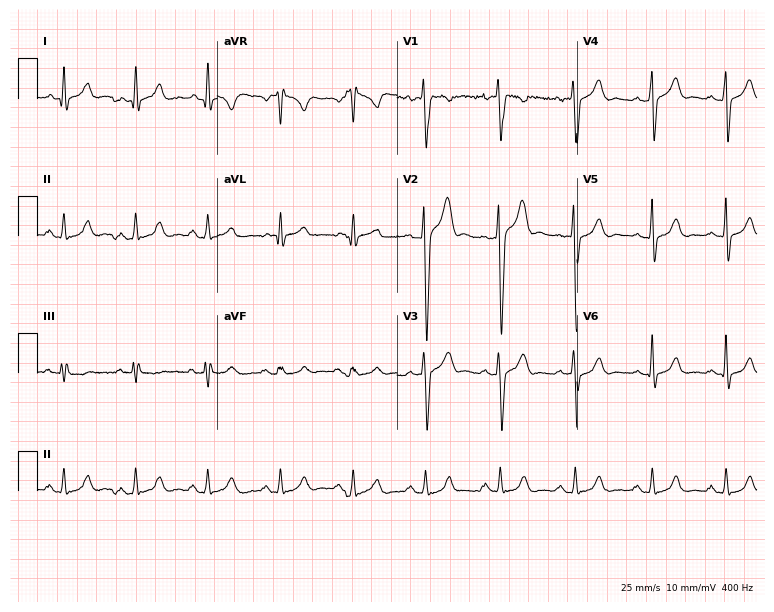
Electrocardiogram (7.3-second recording at 400 Hz), a 37-year-old male. Of the six screened findings (first-degree AV block, right bundle branch block, left bundle branch block, sinus bradycardia, atrial fibrillation, sinus tachycardia), none is recorded. Only these six findings were labelled.